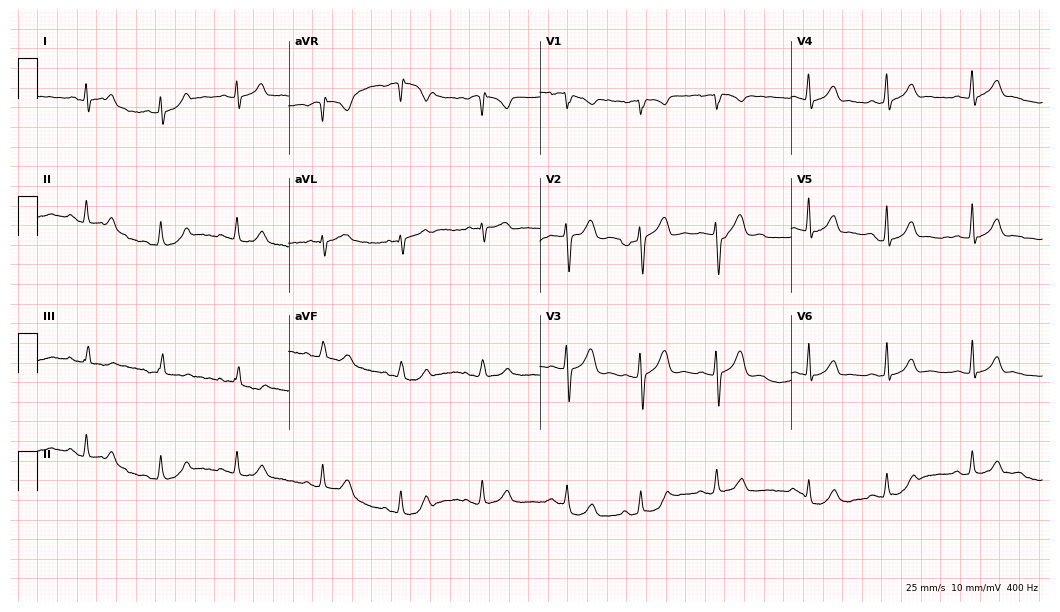
Electrocardiogram, a 22-year-old female. Overall reading on record: normal ECG.